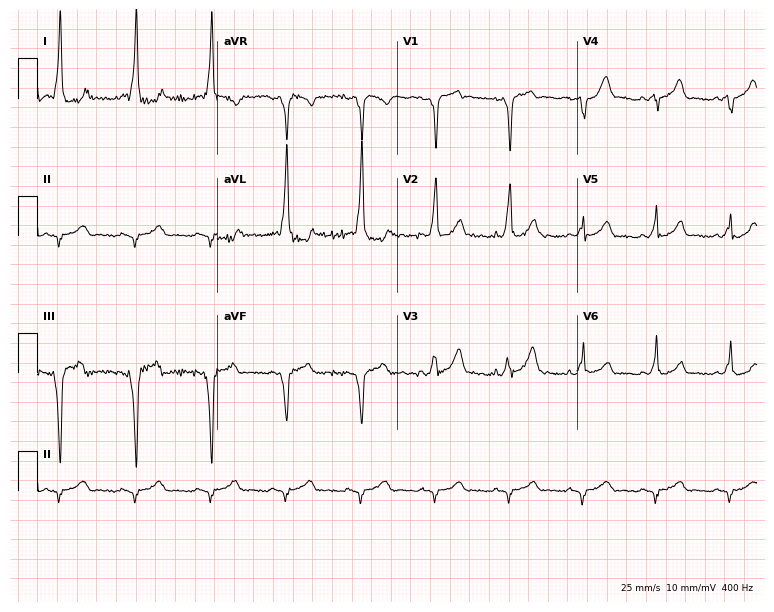
ECG (7.3-second recording at 400 Hz) — a 50-year-old man. Screened for six findings — first-degree AV block, right bundle branch block (RBBB), left bundle branch block (LBBB), sinus bradycardia, atrial fibrillation (AF), sinus tachycardia — none is recorded.